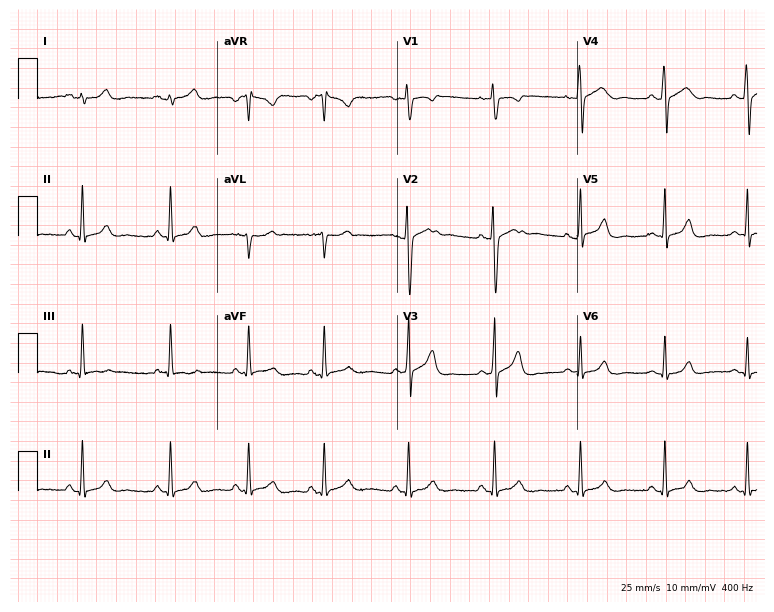
Electrocardiogram (7.3-second recording at 400 Hz), a 22-year-old female patient. Overall reading on record: normal ECG.